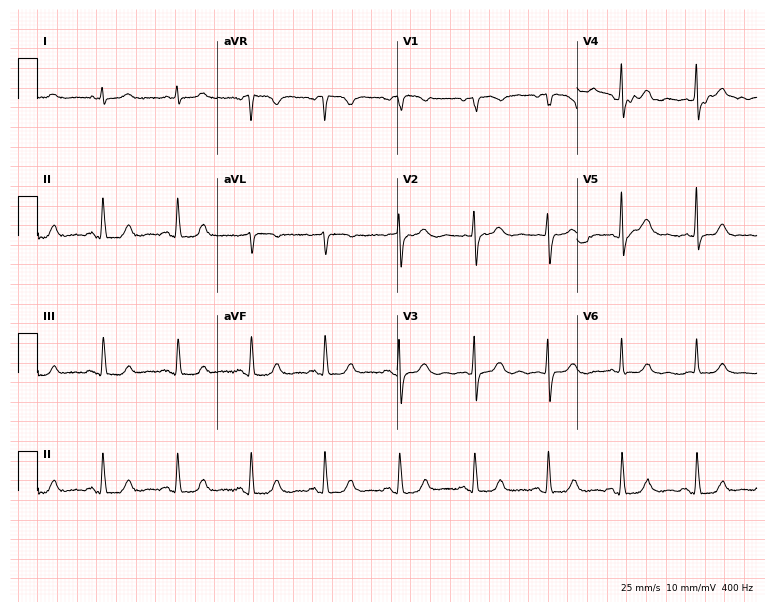
ECG (7.3-second recording at 400 Hz) — a 78-year-old male patient. Screened for six findings — first-degree AV block, right bundle branch block, left bundle branch block, sinus bradycardia, atrial fibrillation, sinus tachycardia — none is recorded. Only these six findings were labelled.